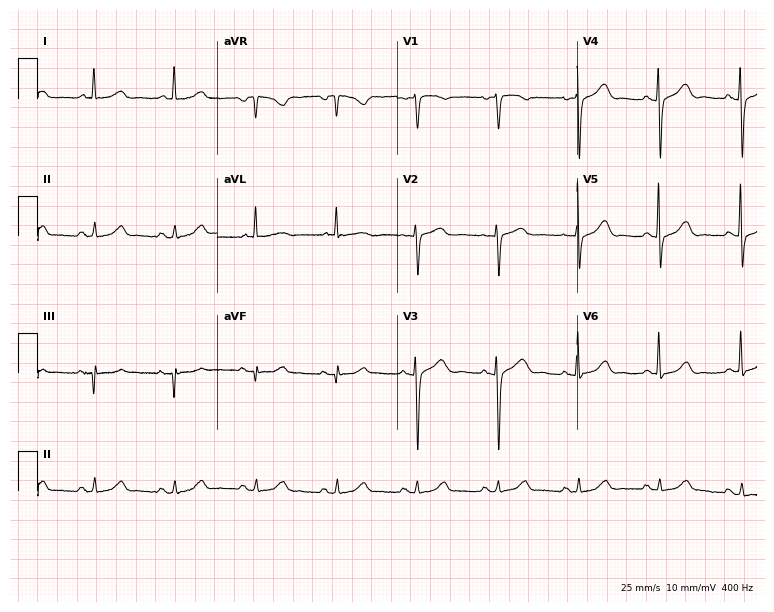
12-lead ECG (7.3-second recording at 400 Hz) from a 73-year-old woman. Screened for six findings — first-degree AV block, right bundle branch block, left bundle branch block, sinus bradycardia, atrial fibrillation, sinus tachycardia — none is recorded. Findings outside these six are not listed.